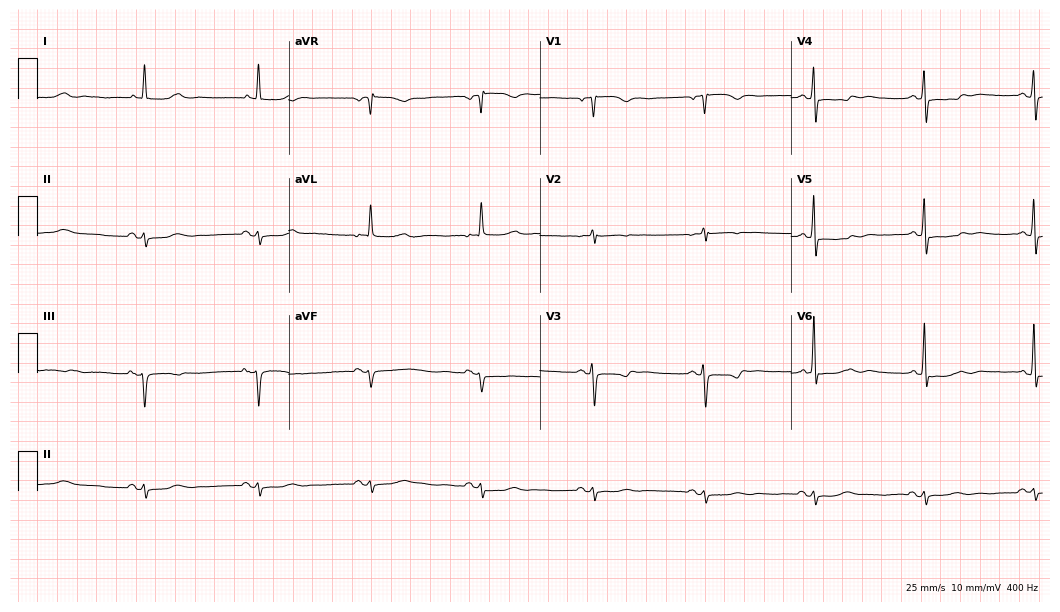
12-lead ECG from a 71-year-old female patient. Screened for six findings — first-degree AV block, right bundle branch block, left bundle branch block, sinus bradycardia, atrial fibrillation, sinus tachycardia — none is recorded.